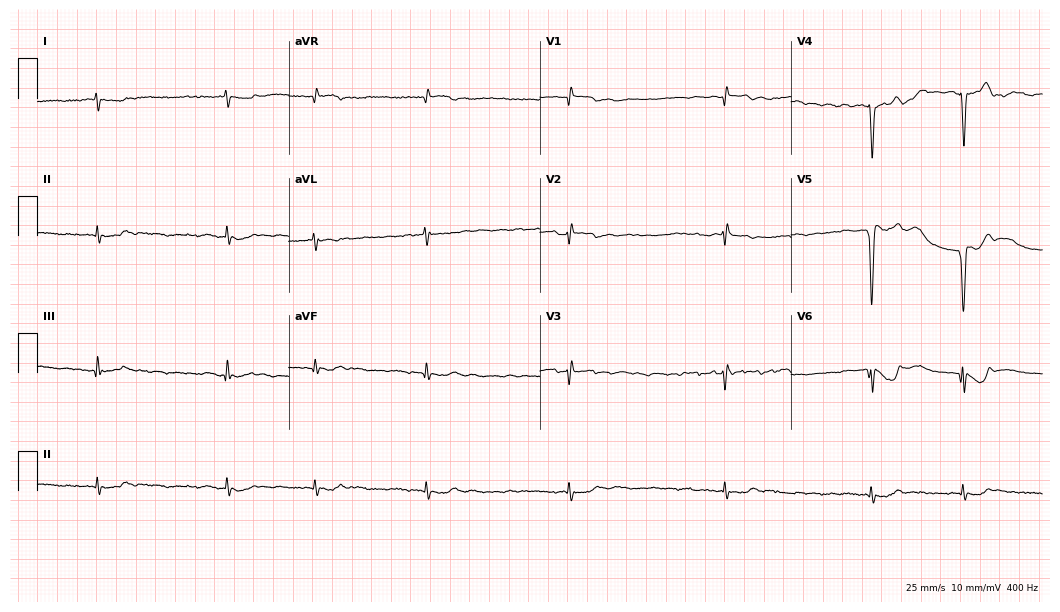
Electrocardiogram (10.2-second recording at 400 Hz), a woman, 64 years old. Interpretation includes atrial fibrillation.